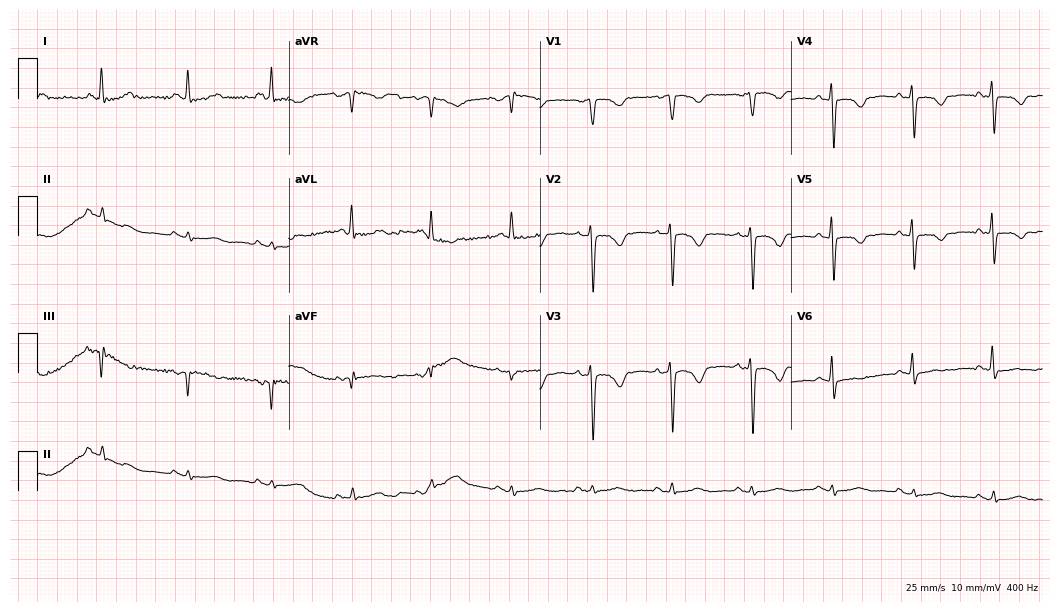
12-lead ECG (10.2-second recording at 400 Hz) from a 70-year-old woman. Screened for six findings — first-degree AV block, right bundle branch block (RBBB), left bundle branch block (LBBB), sinus bradycardia, atrial fibrillation (AF), sinus tachycardia — none is recorded.